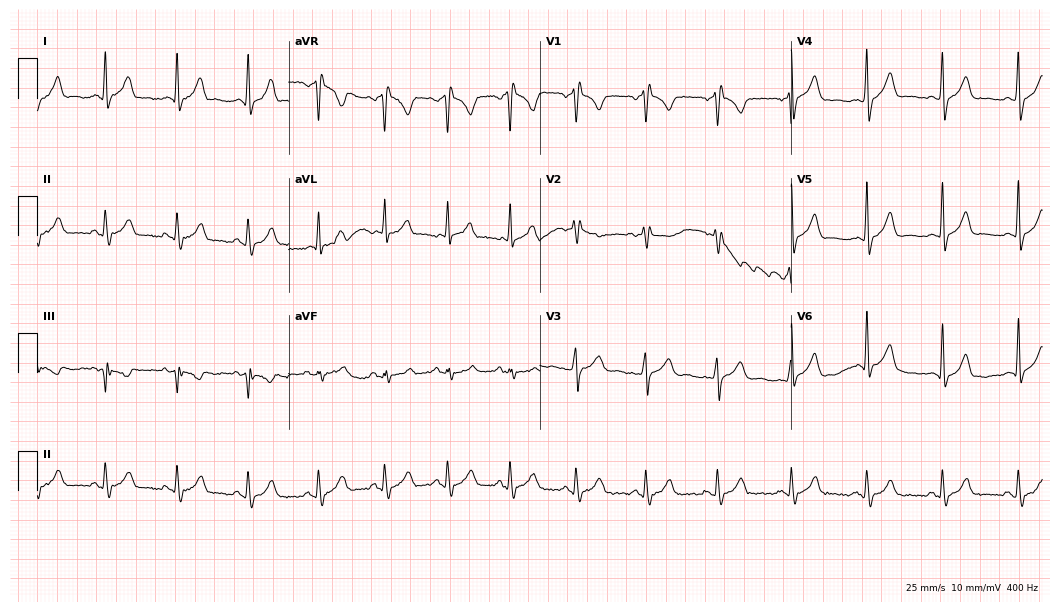
Electrocardiogram, a male, 27 years old. Of the six screened findings (first-degree AV block, right bundle branch block, left bundle branch block, sinus bradycardia, atrial fibrillation, sinus tachycardia), none is recorded. Findings outside these six are not listed.